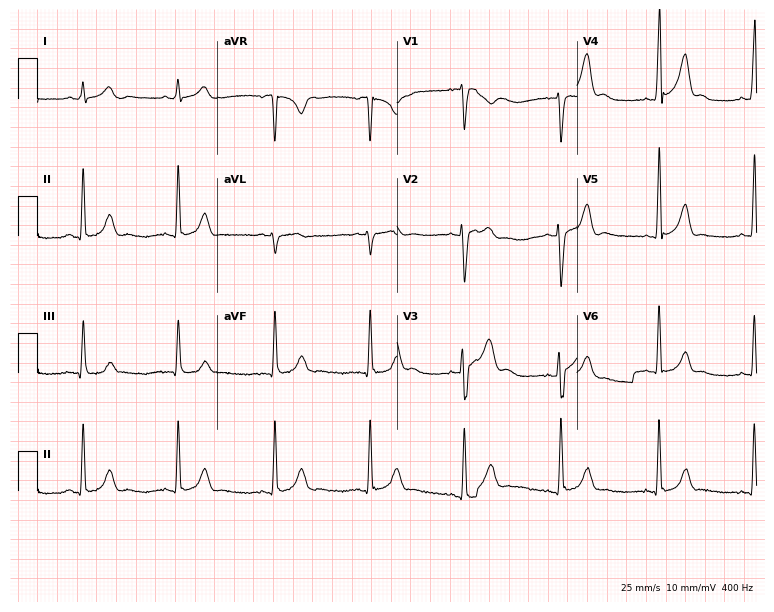
Electrocardiogram (7.3-second recording at 400 Hz), a 32-year-old male. Overall reading on record: normal ECG.